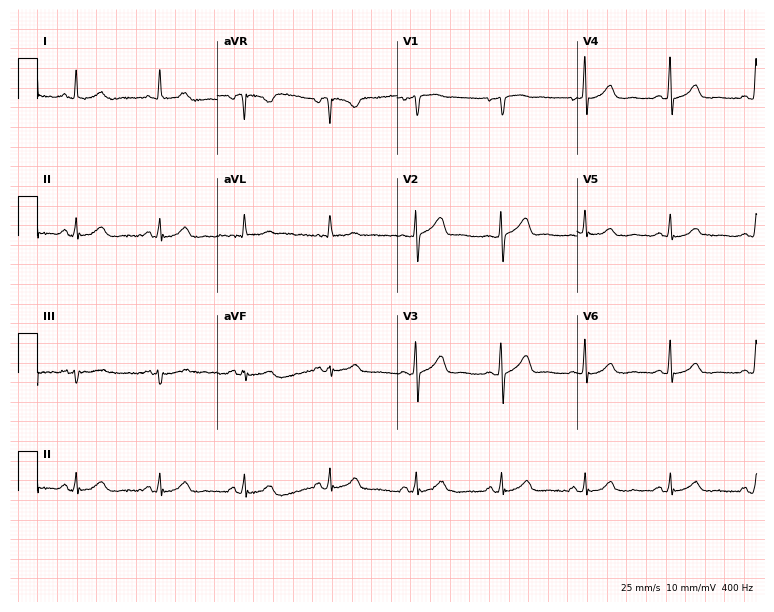
Resting 12-lead electrocardiogram (7.3-second recording at 400 Hz). Patient: a 71-year-old female. Read as a normal ECG.